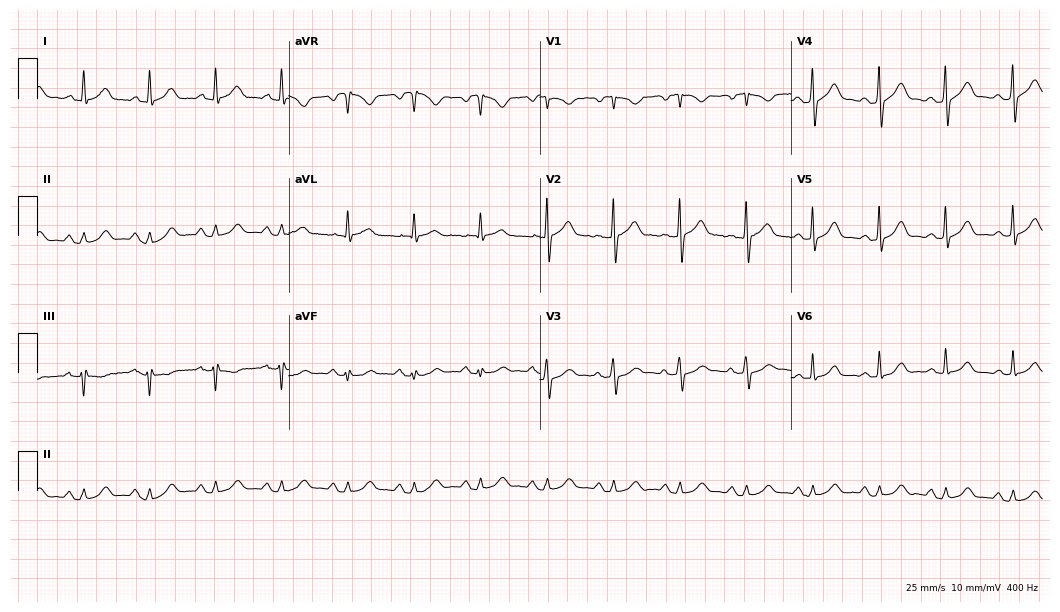
Resting 12-lead electrocardiogram (10.2-second recording at 400 Hz). Patient: a male, 65 years old. Read as a normal ECG.